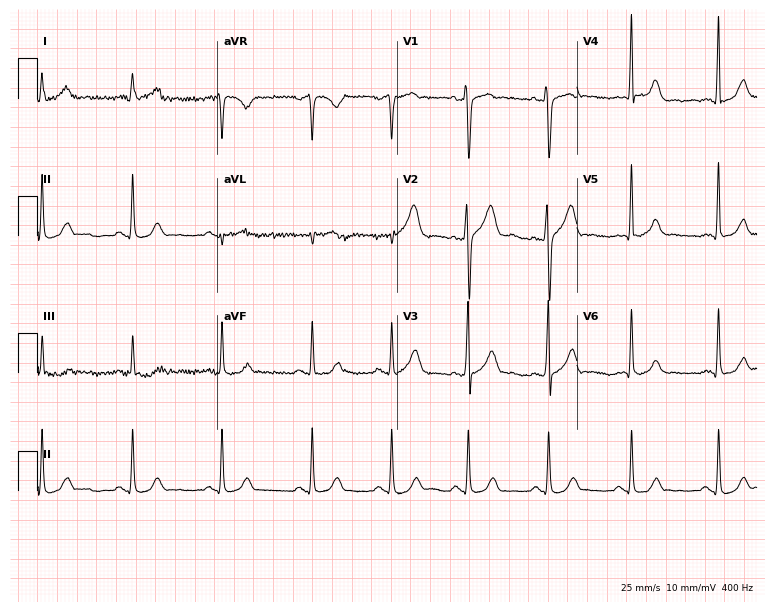
12-lead ECG from a man, 48 years old. Labelled as a normal ECG.